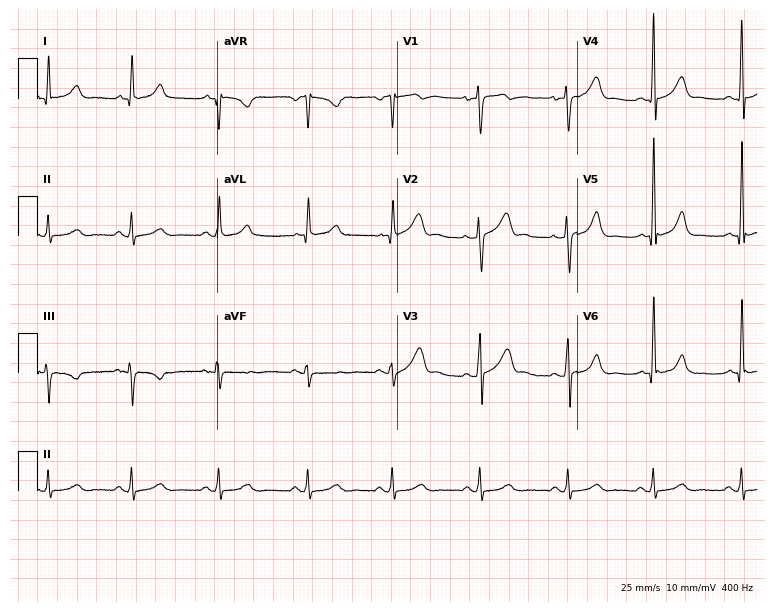
ECG — a male patient, 46 years old. Screened for six findings — first-degree AV block, right bundle branch block, left bundle branch block, sinus bradycardia, atrial fibrillation, sinus tachycardia — none is recorded. Only these six findings were labelled.